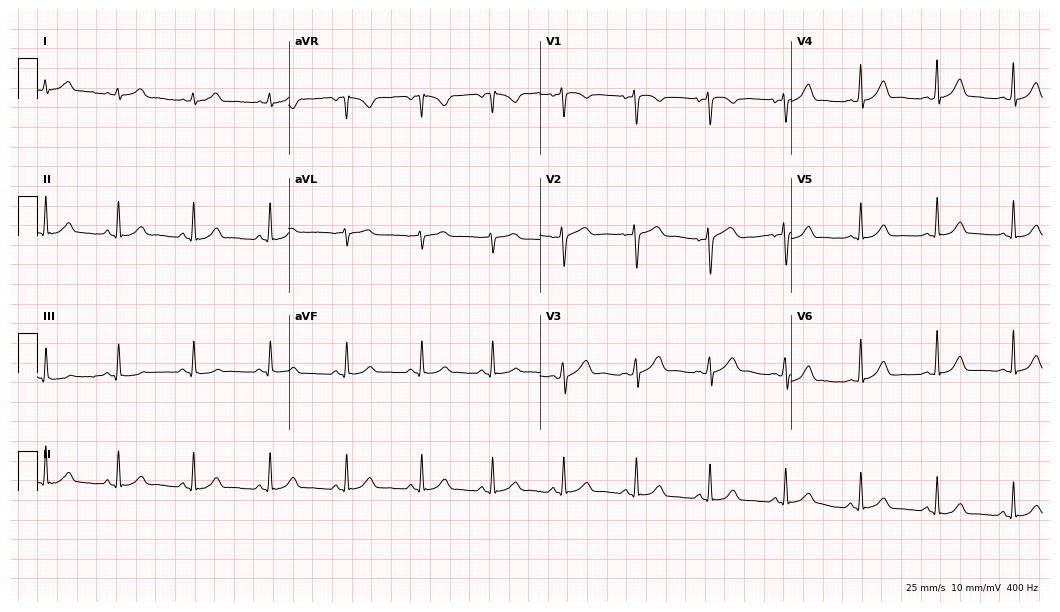
Resting 12-lead electrocardiogram (10.2-second recording at 400 Hz). Patient: a 39-year-old female. Read as a normal ECG.